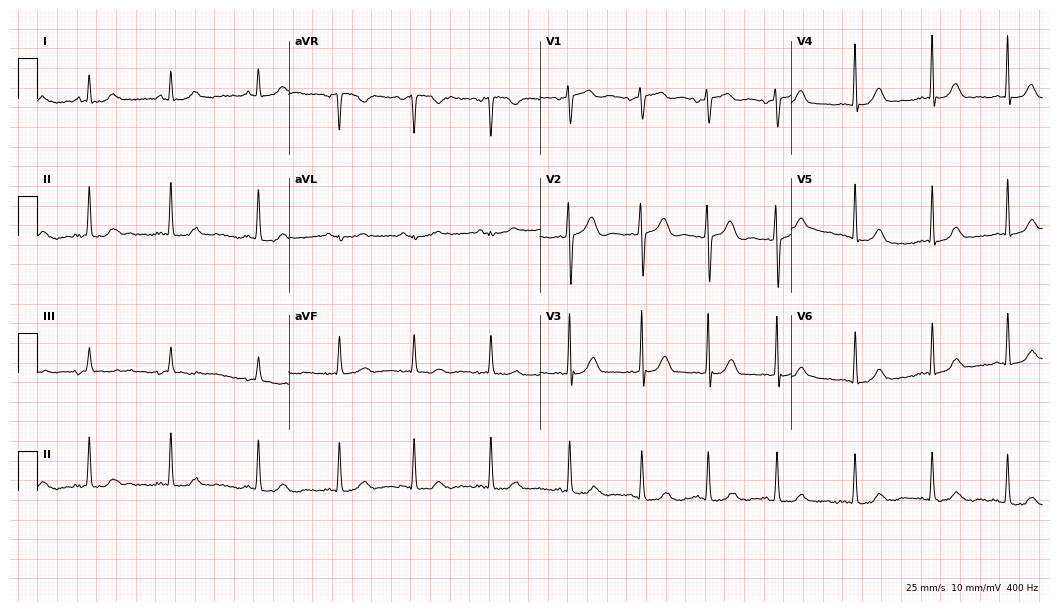
12-lead ECG from a woman, 21 years old. Recorded interpretation: within normal limits.